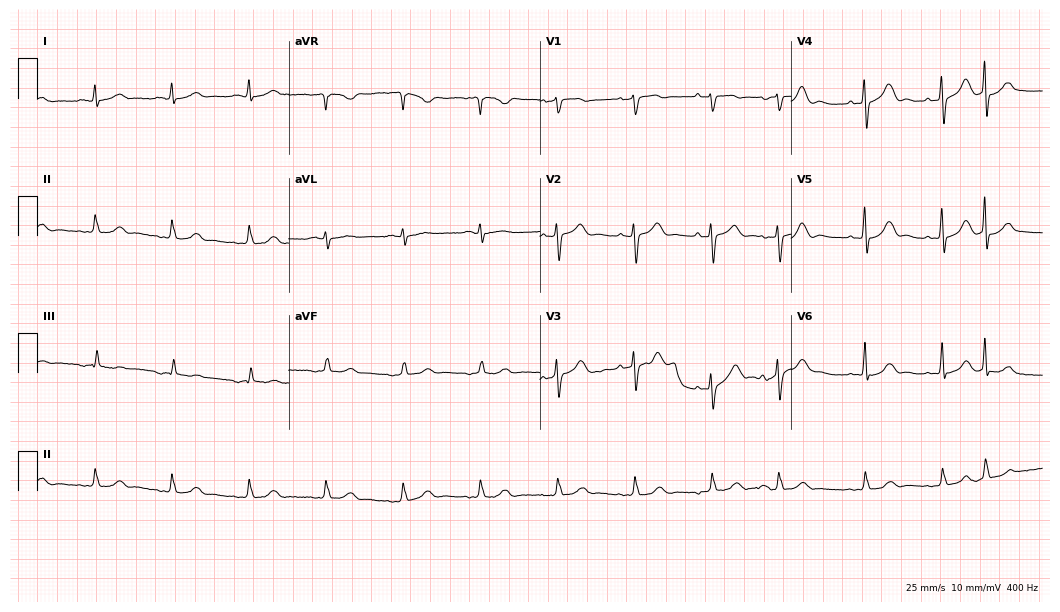
Resting 12-lead electrocardiogram. Patient: a male, 80 years old. None of these six findings is recorded: first-degree AV block, right bundle branch block, left bundle branch block, sinus bradycardia, atrial fibrillation, sinus tachycardia.